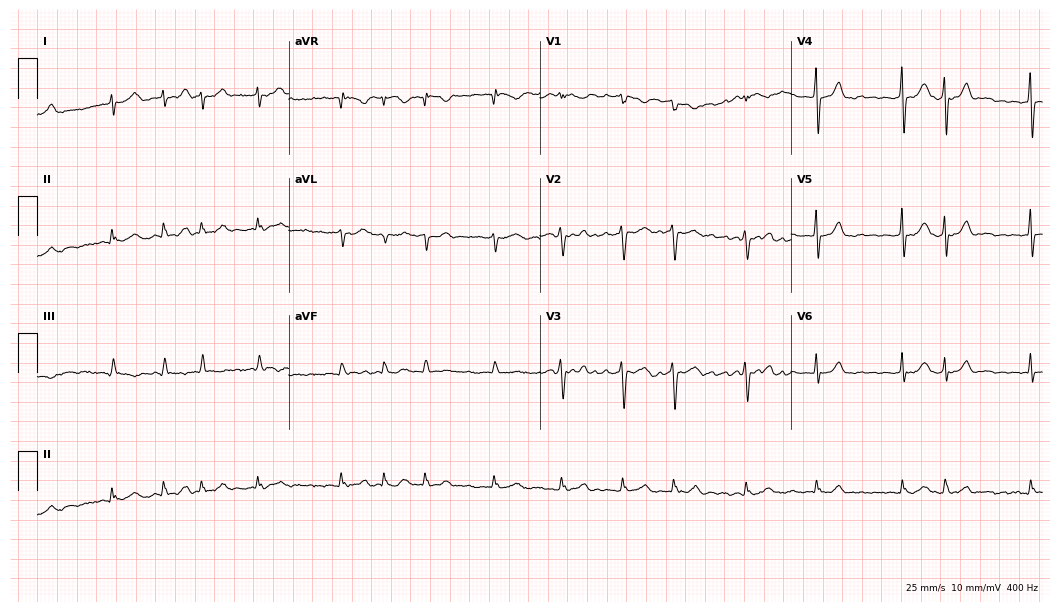
12-lead ECG (10.2-second recording at 400 Hz) from an 80-year-old female patient. Findings include atrial fibrillation (AF).